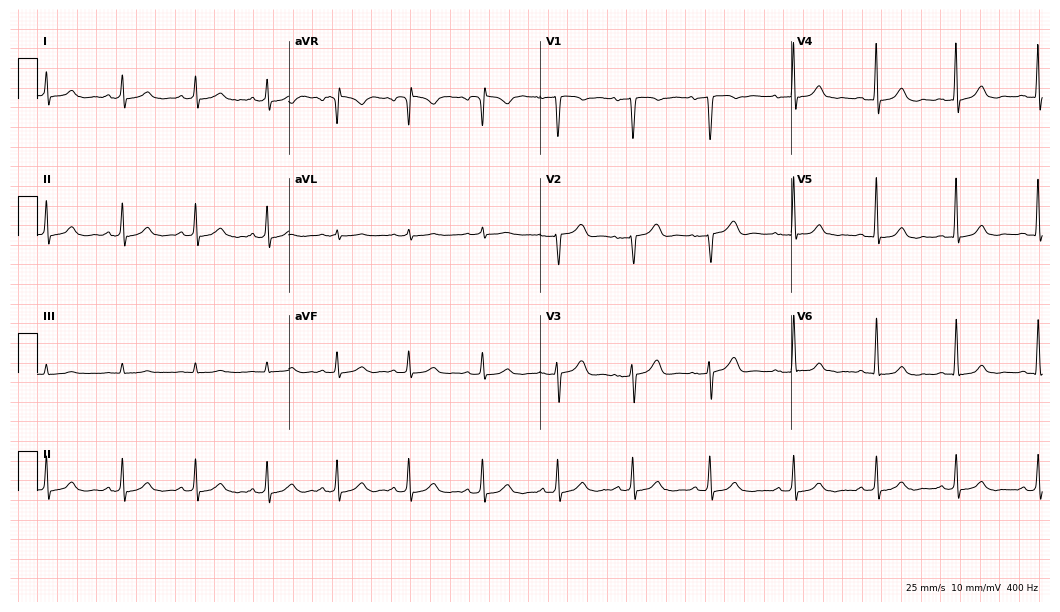
Standard 12-lead ECG recorded from a 34-year-old woman (10.2-second recording at 400 Hz). Read as a normal ECG.